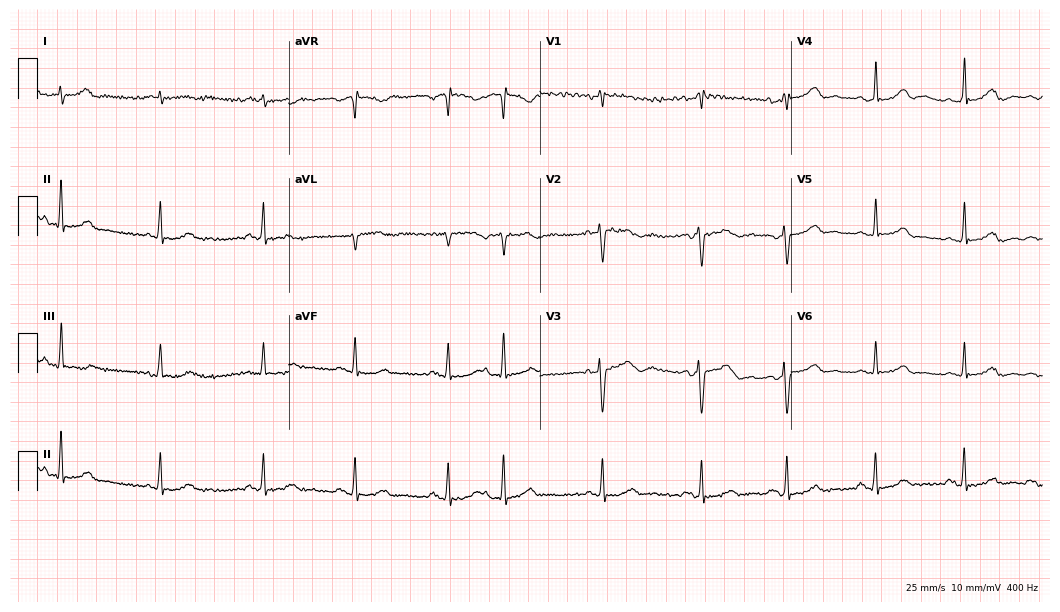
12-lead ECG from a 45-year-old woman. Screened for six findings — first-degree AV block, right bundle branch block (RBBB), left bundle branch block (LBBB), sinus bradycardia, atrial fibrillation (AF), sinus tachycardia — none is recorded.